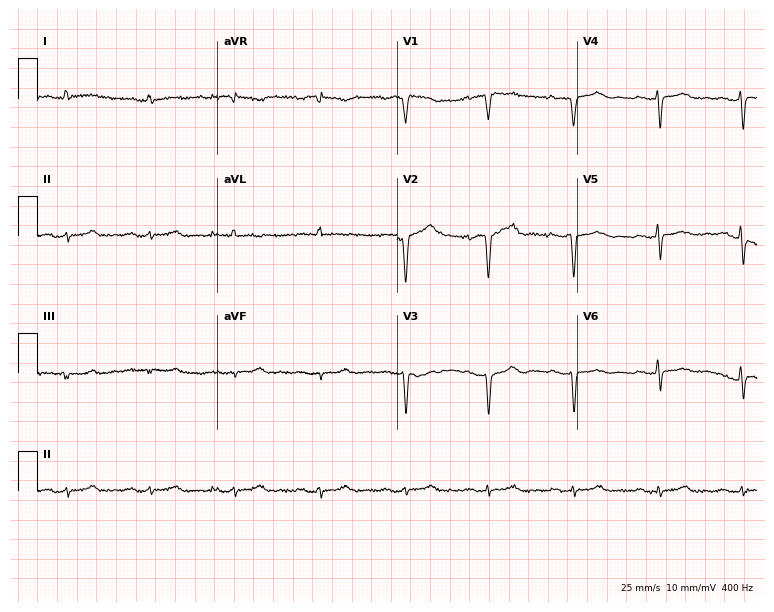
ECG (7.3-second recording at 400 Hz) — a male patient, 61 years old. Findings include first-degree AV block.